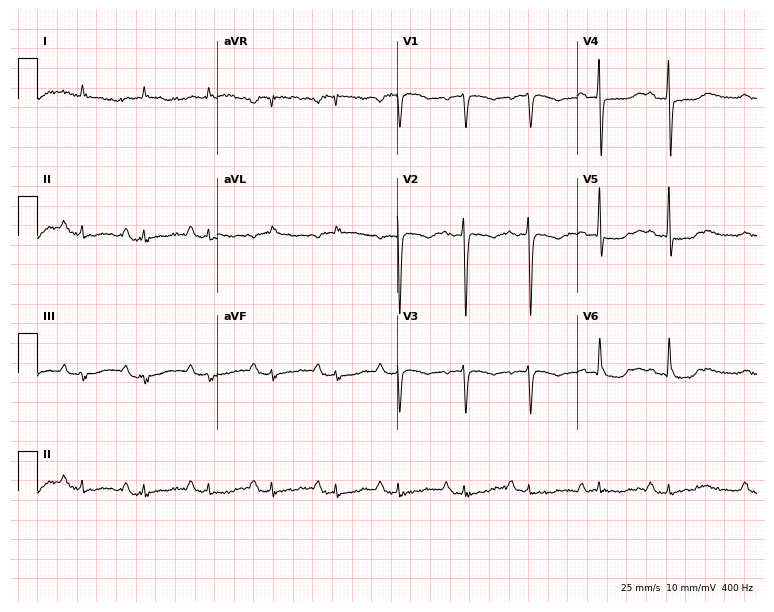
12-lead ECG from a male, 82 years old. Screened for six findings — first-degree AV block, right bundle branch block, left bundle branch block, sinus bradycardia, atrial fibrillation, sinus tachycardia — none is recorded.